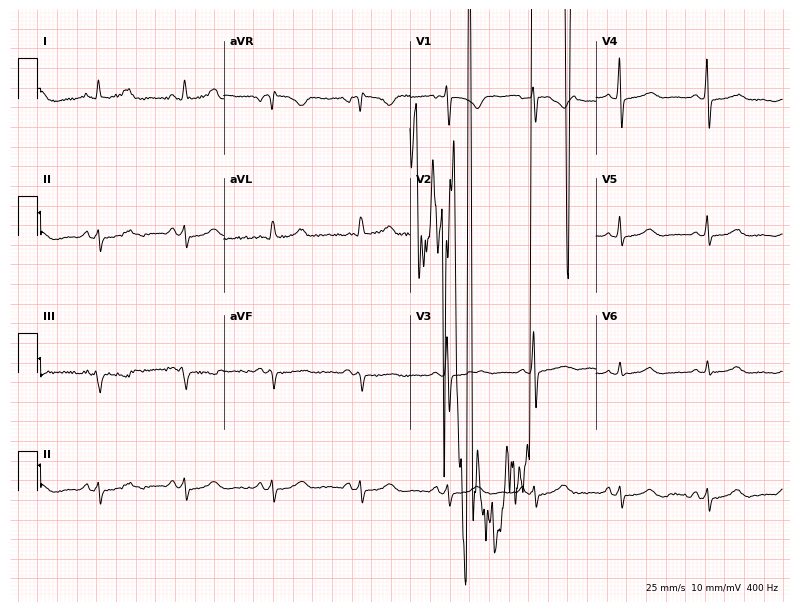
12-lead ECG from a female, 45 years old. No first-degree AV block, right bundle branch block (RBBB), left bundle branch block (LBBB), sinus bradycardia, atrial fibrillation (AF) or sinus tachycardia recorded for this tracing.